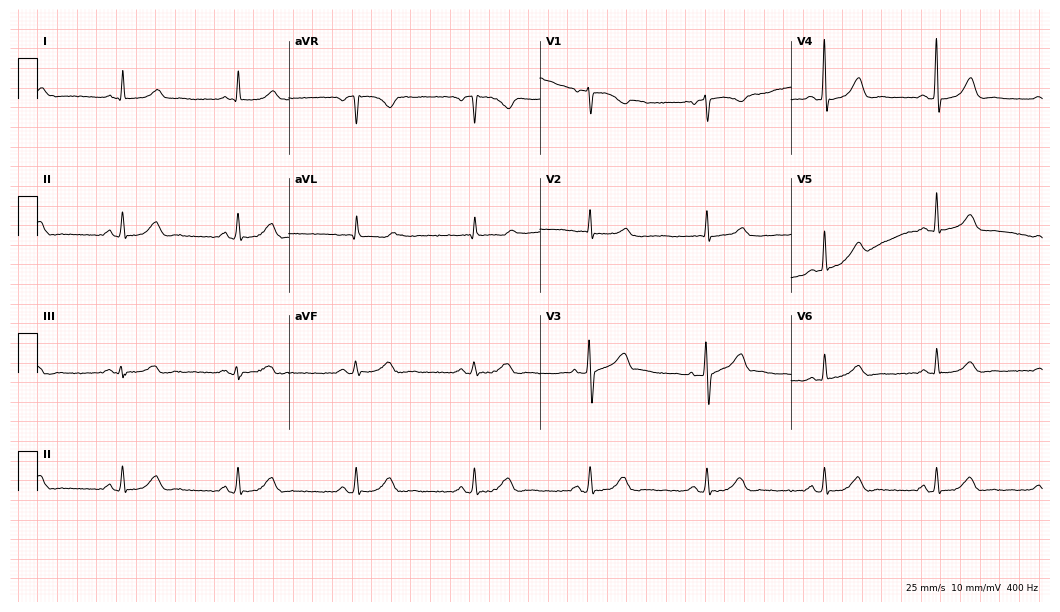
Resting 12-lead electrocardiogram. Patient: a 64-year-old woman. None of these six findings is recorded: first-degree AV block, right bundle branch block, left bundle branch block, sinus bradycardia, atrial fibrillation, sinus tachycardia.